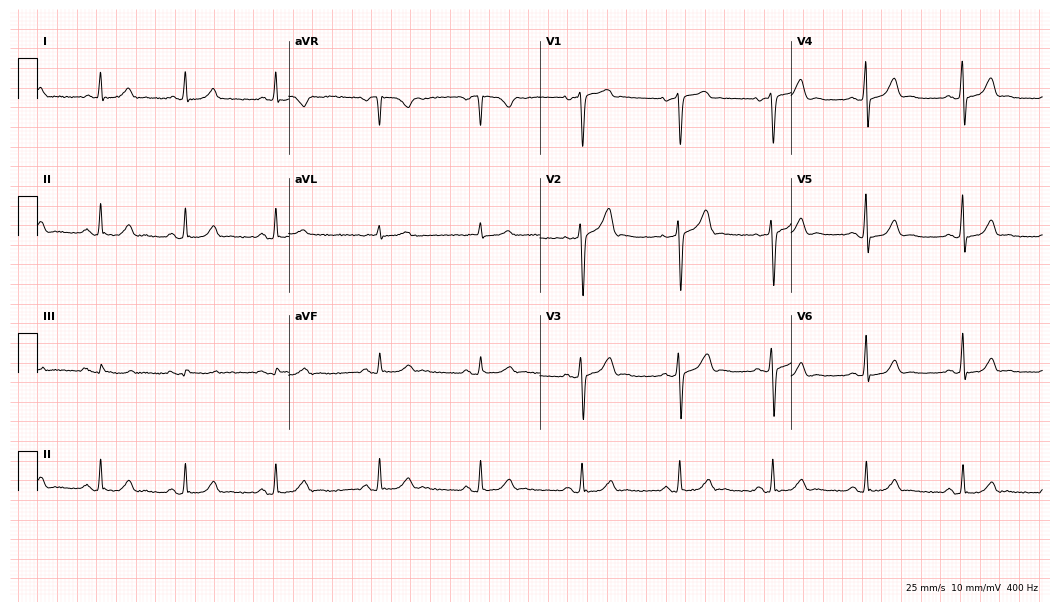
Standard 12-lead ECG recorded from a man, 65 years old (10.2-second recording at 400 Hz). Read as a normal ECG.